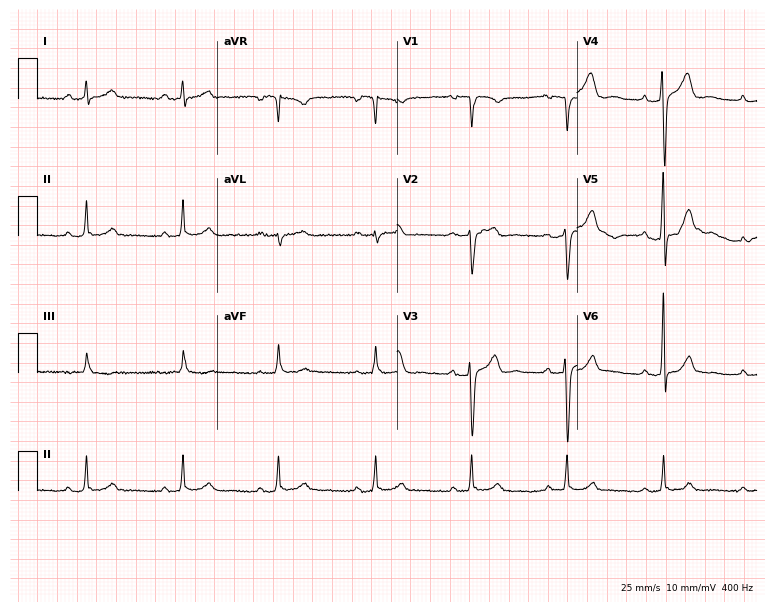
12-lead ECG (7.3-second recording at 400 Hz) from a 44-year-old male patient. Screened for six findings — first-degree AV block, right bundle branch block, left bundle branch block, sinus bradycardia, atrial fibrillation, sinus tachycardia — none is recorded.